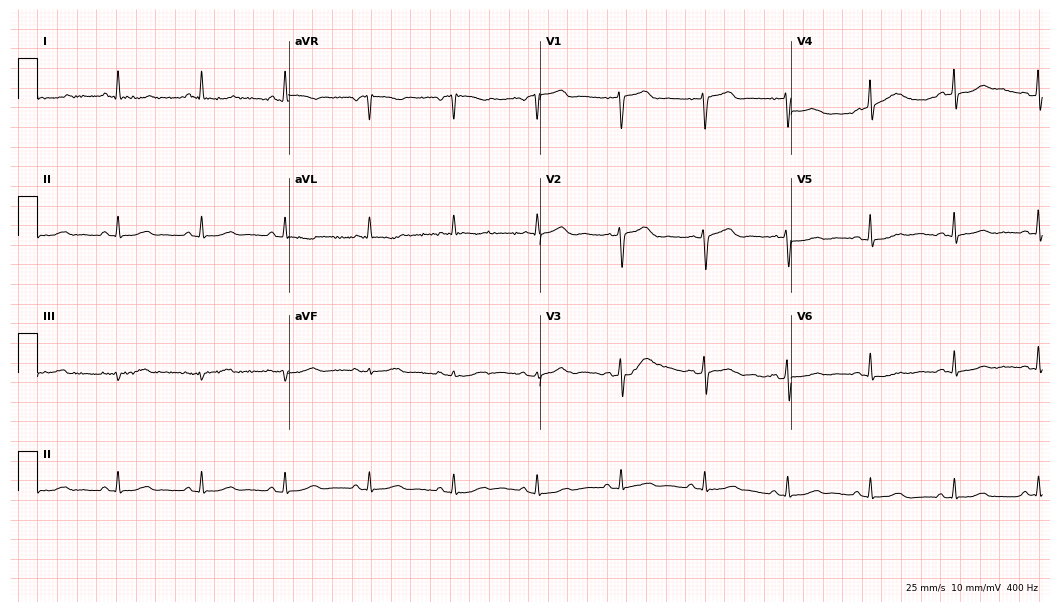
12-lead ECG from a woman, 71 years old (10.2-second recording at 400 Hz). Recorded interpretation: within normal limits.